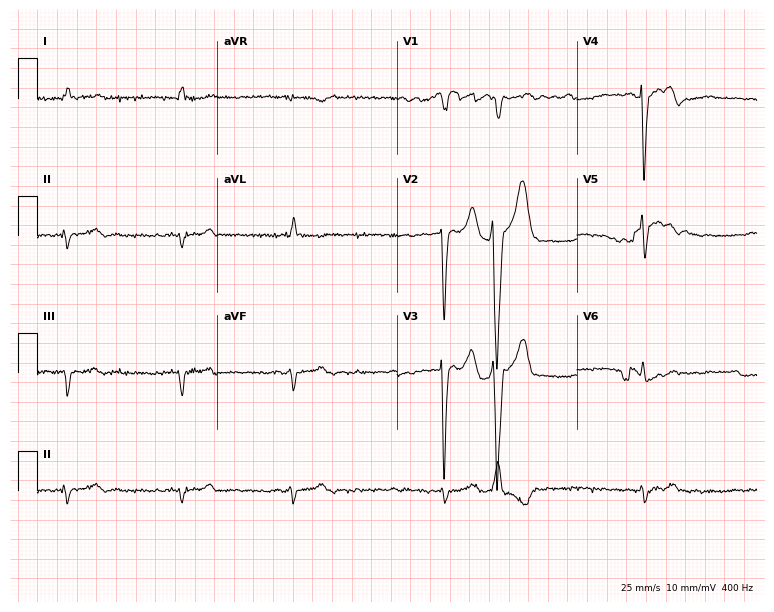
12-lead ECG (7.3-second recording at 400 Hz) from a man, 73 years old. Findings include atrial fibrillation.